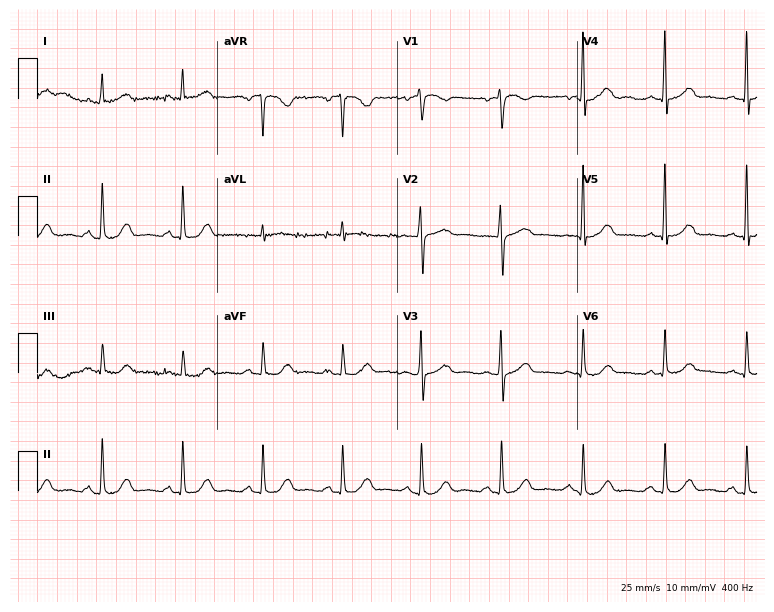
12-lead ECG from a female patient, 82 years old. Labelled as a normal ECG.